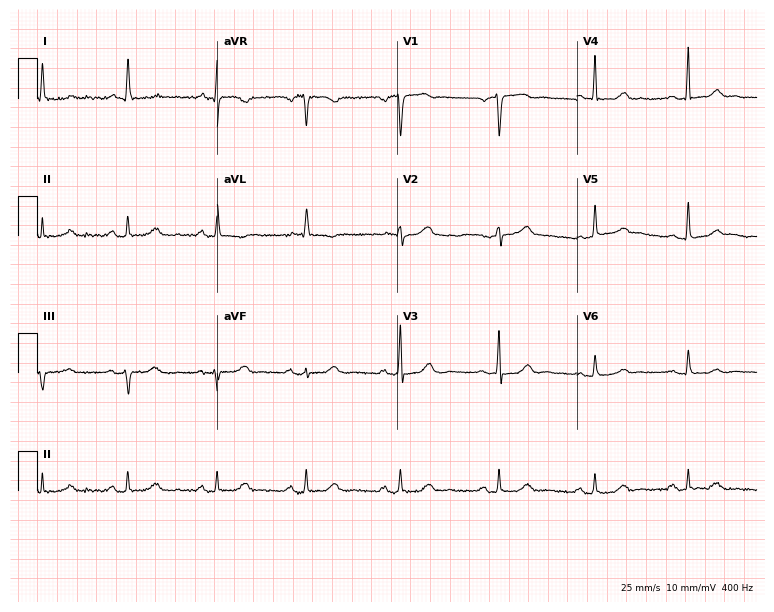
12-lead ECG (7.3-second recording at 400 Hz) from a 76-year-old female patient. Labelled as a normal ECG.